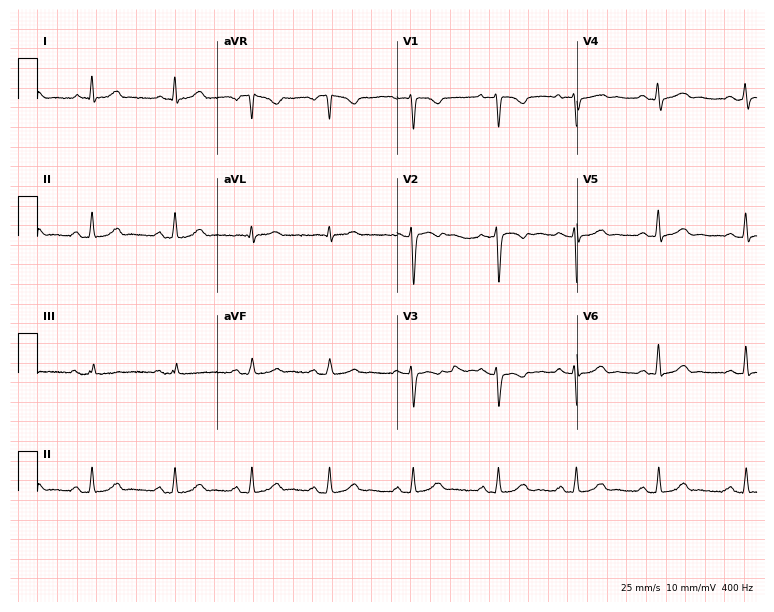
Standard 12-lead ECG recorded from a female patient, 29 years old. None of these six findings is recorded: first-degree AV block, right bundle branch block (RBBB), left bundle branch block (LBBB), sinus bradycardia, atrial fibrillation (AF), sinus tachycardia.